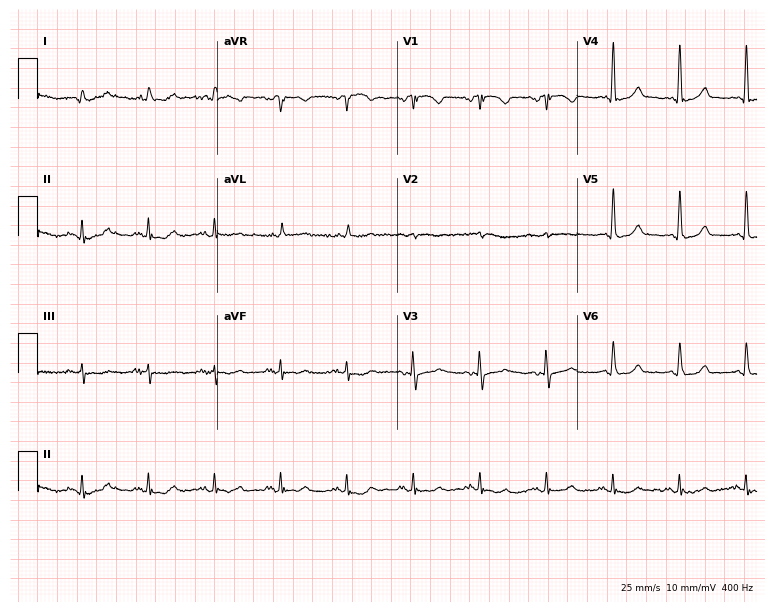
Standard 12-lead ECG recorded from a female patient, 66 years old (7.3-second recording at 400 Hz). None of these six findings is recorded: first-degree AV block, right bundle branch block, left bundle branch block, sinus bradycardia, atrial fibrillation, sinus tachycardia.